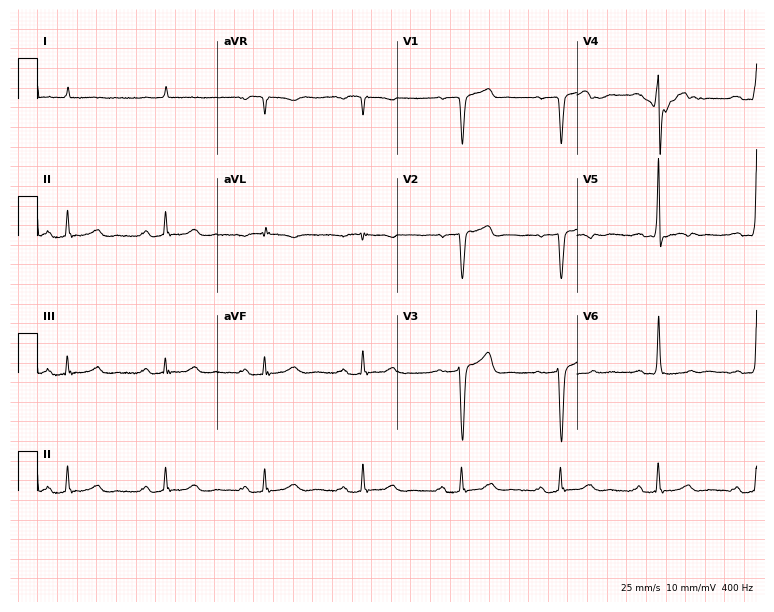
ECG — an 85-year-old male. Findings include first-degree AV block.